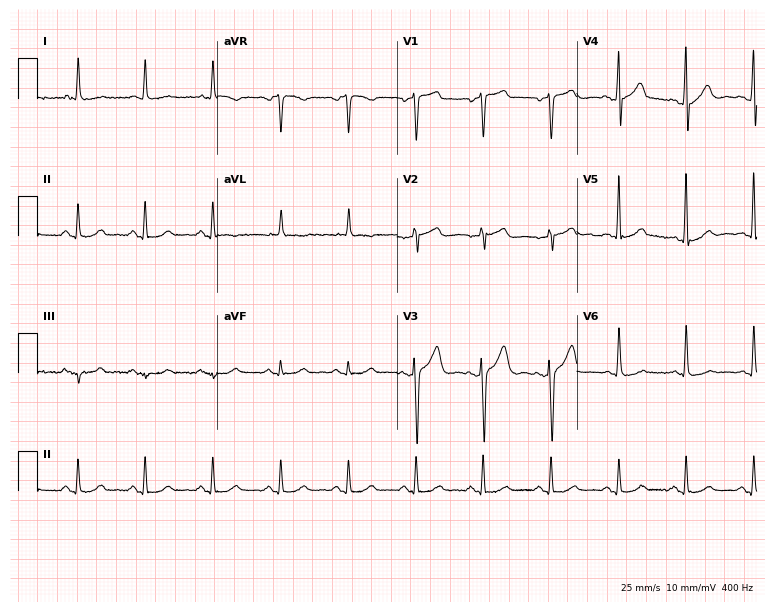
Standard 12-lead ECG recorded from a male patient, 61 years old (7.3-second recording at 400 Hz). None of these six findings is recorded: first-degree AV block, right bundle branch block (RBBB), left bundle branch block (LBBB), sinus bradycardia, atrial fibrillation (AF), sinus tachycardia.